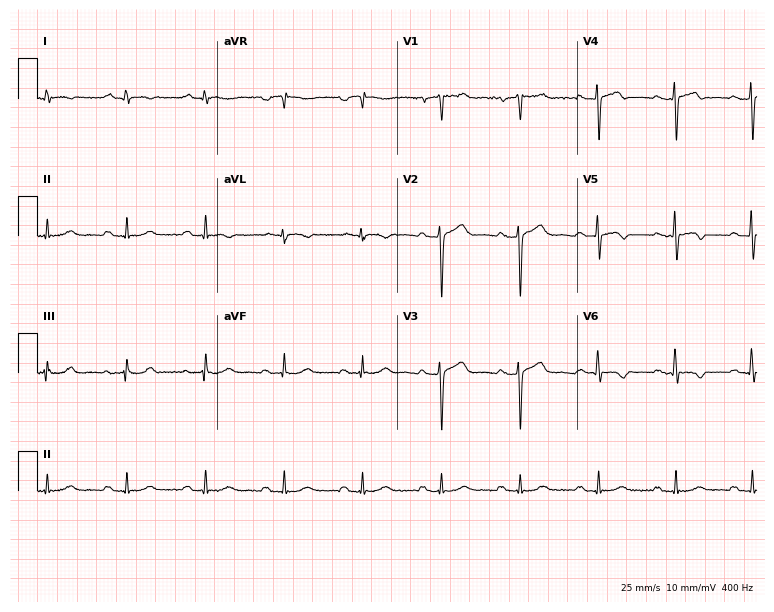
12-lead ECG from a male patient, 62 years old. Findings include first-degree AV block.